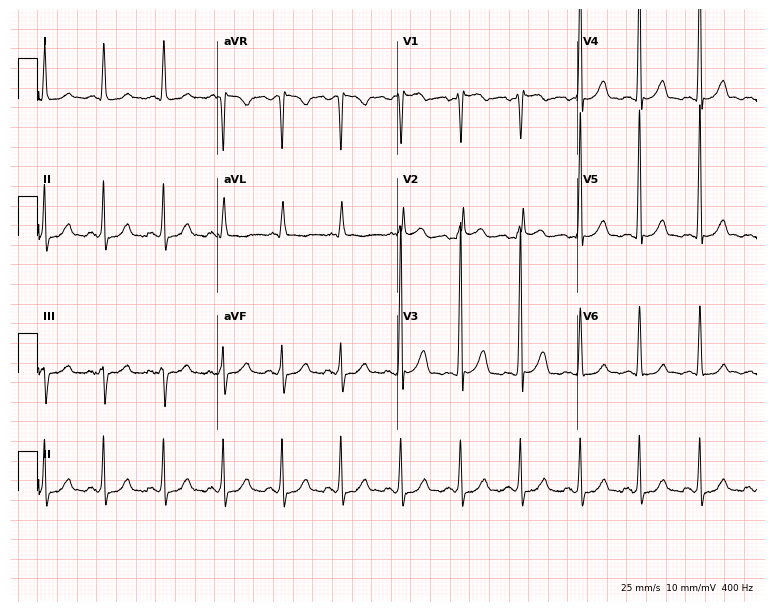
12-lead ECG from a 35-year-old female patient (7.3-second recording at 400 Hz). Recorded interpretation: within normal limits.